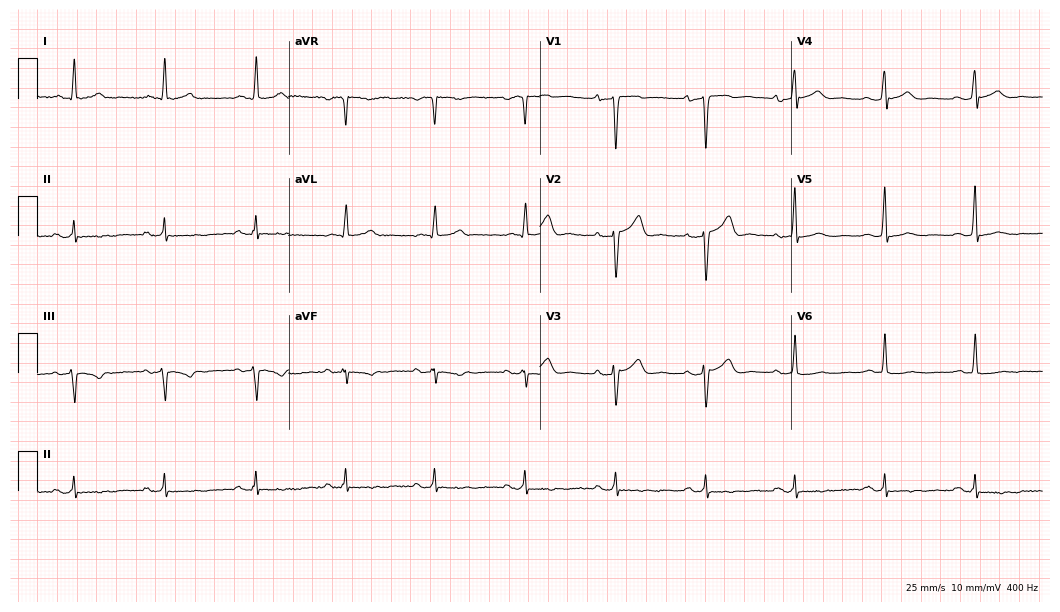
Resting 12-lead electrocardiogram. Patient: a 76-year-old male. None of these six findings is recorded: first-degree AV block, right bundle branch block, left bundle branch block, sinus bradycardia, atrial fibrillation, sinus tachycardia. Other findings, if any, are not listed.